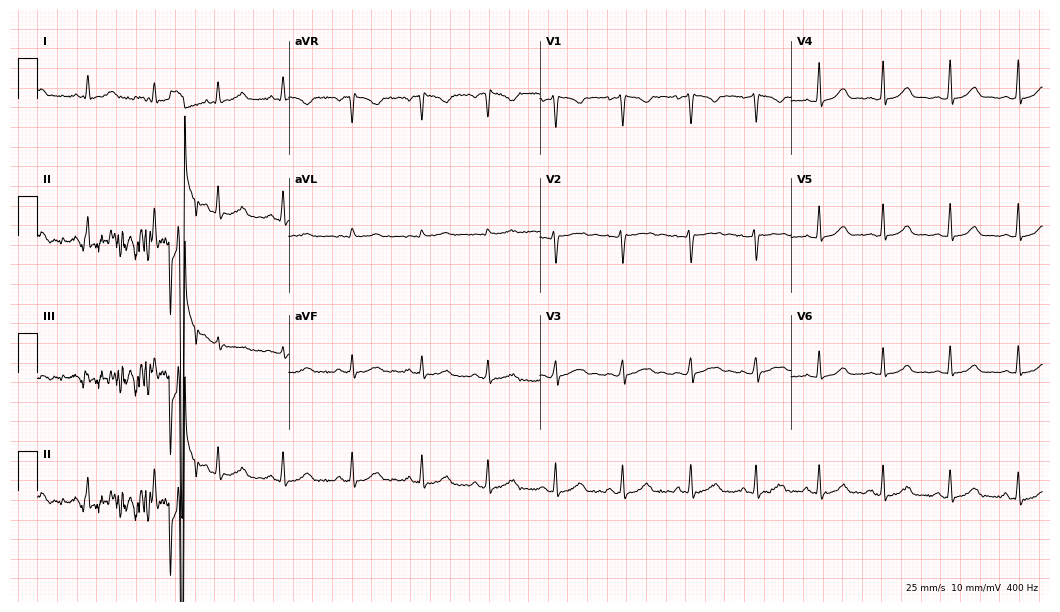
ECG (10.2-second recording at 400 Hz) — a 28-year-old female patient. Labelled as a normal ECG.